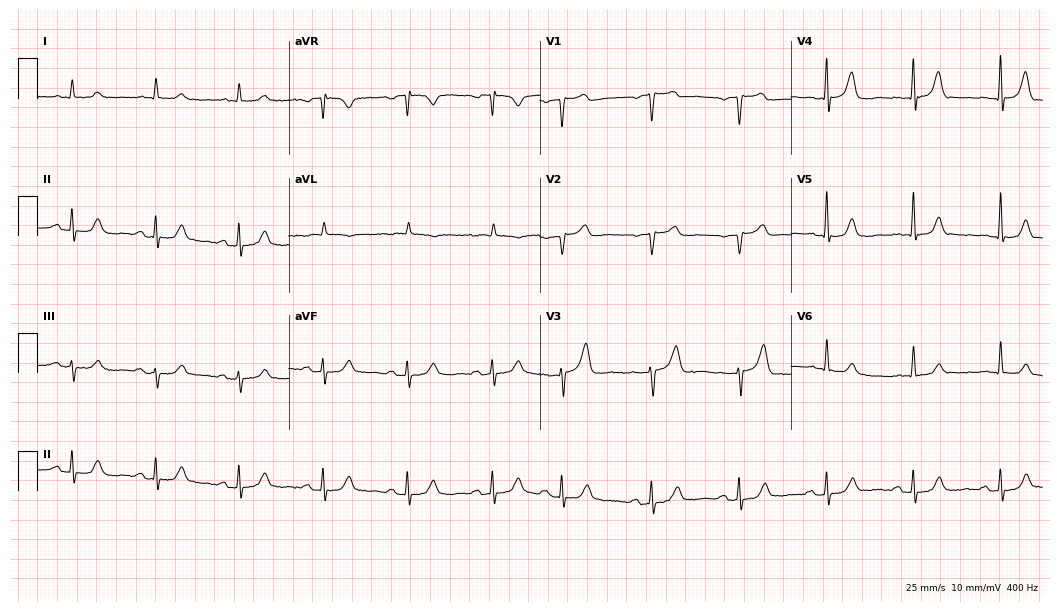
Resting 12-lead electrocardiogram. Patient: a male, 71 years old. Read as a normal ECG.